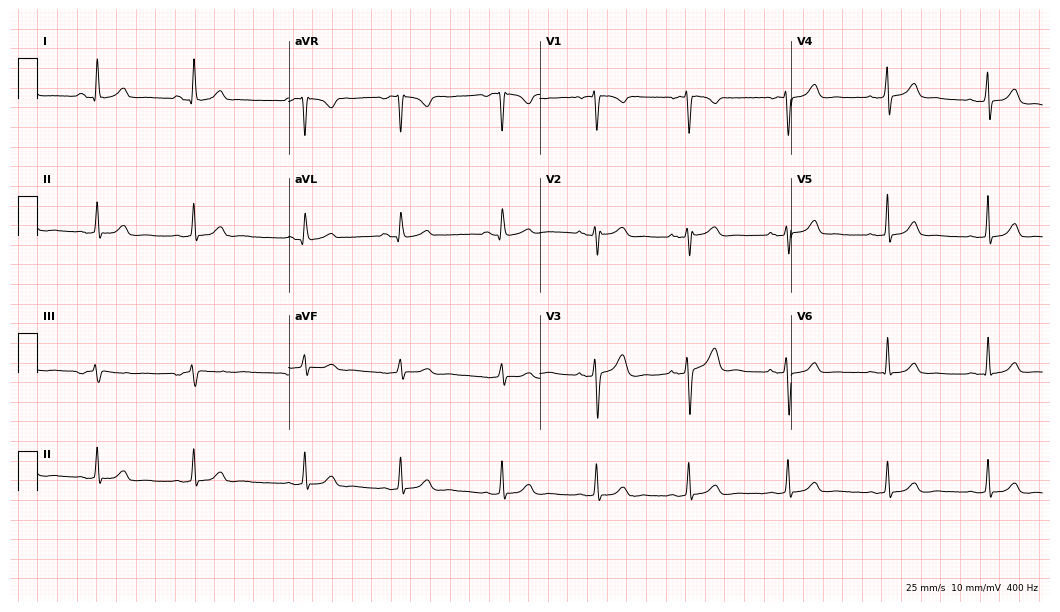
Resting 12-lead electrocardiogram. Patient: a 31-year-old woman. Read as a normal ECG.